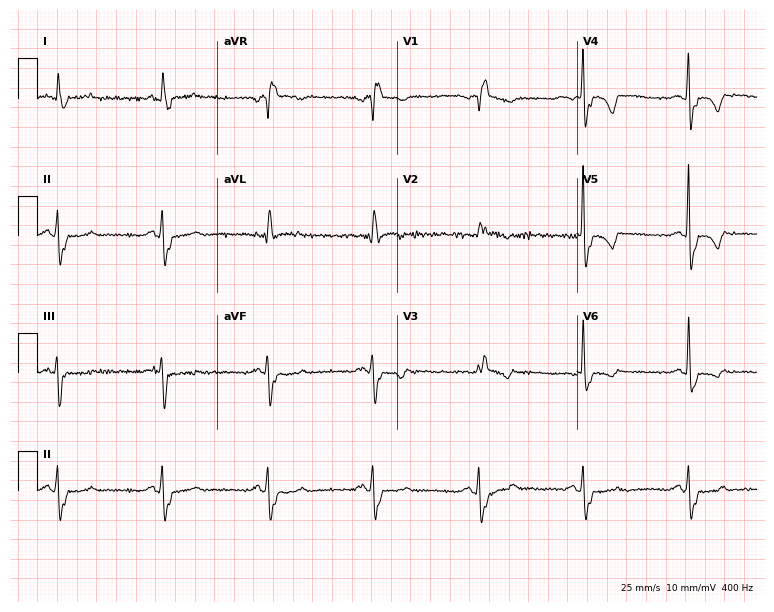
ECG — a female, 78 years old. Findings include right bundle branch block (RBBB).